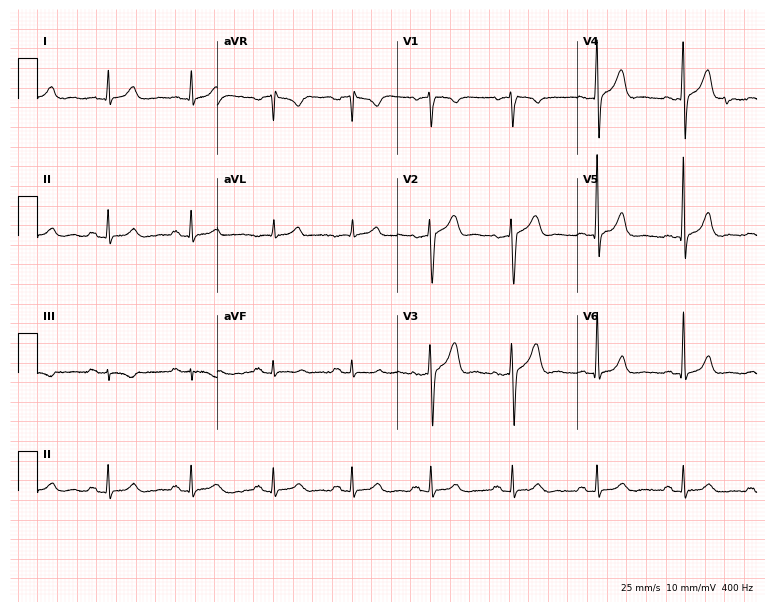
Resting 12-lead electrocardiogram (7.3-second recording at 400 Hz). Patient: a 39-year-old man. Read as a normal ECG.